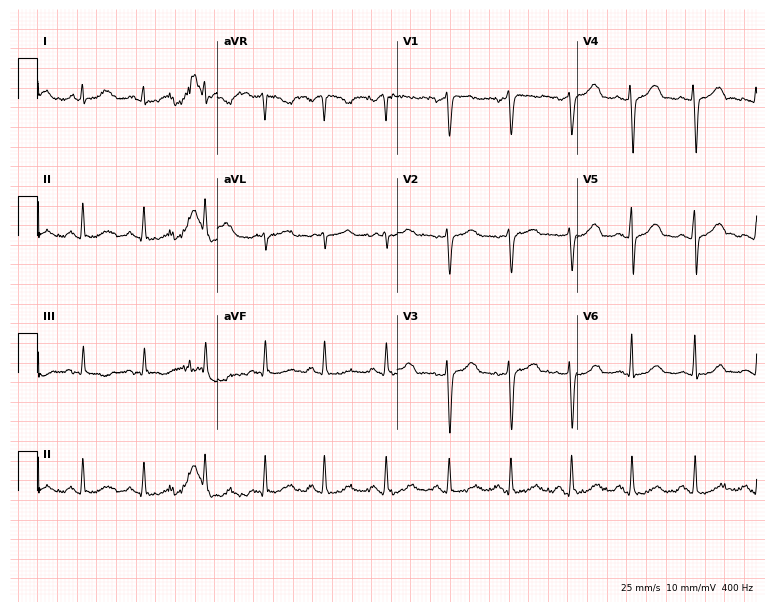
12-lead ECG from a 35-year-old woman. Screened for six findings — first-degree AV block, right bundle branch block (RBBB), left bundle branch block (LBBB), sinus bradycardia, atrial fibrillation (AF), sinus tachycardia — none is recorded.